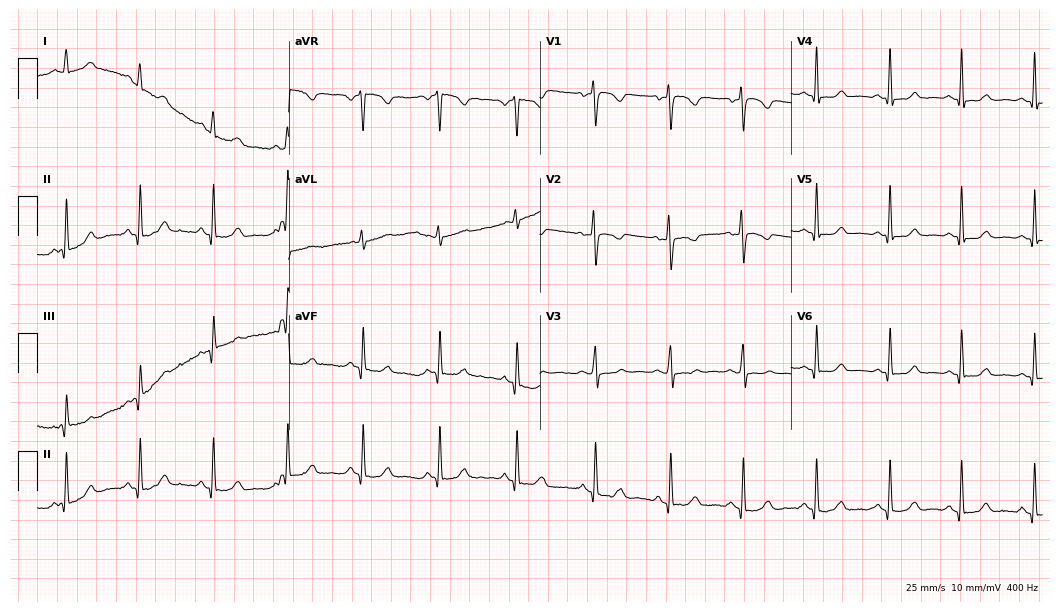
Resting 12-lead electrocardiogram (10.2-second recording at 400 Hz). Patient: a female, 35 years old. Read as a normal ECG.